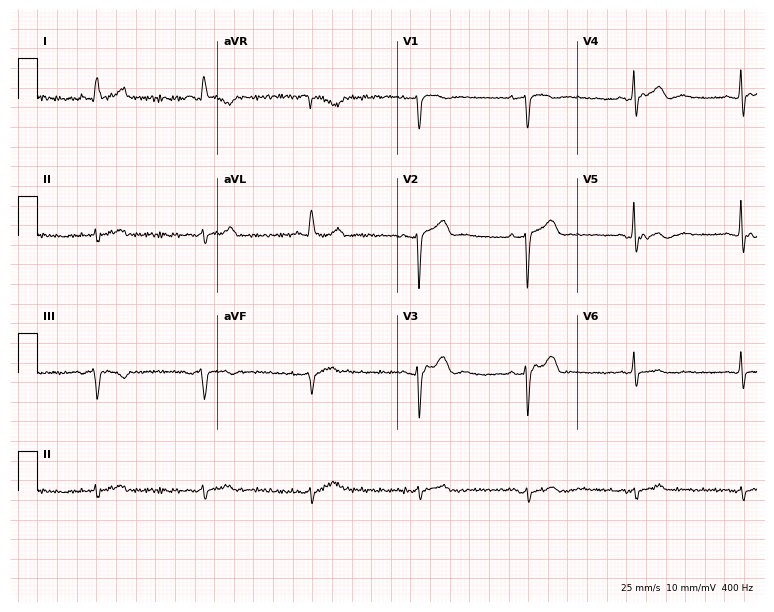
Standard 12-lead ECG recorded from an 81-year-old male (7.3-second recording at 400 Hz). Read as a normal ECG.